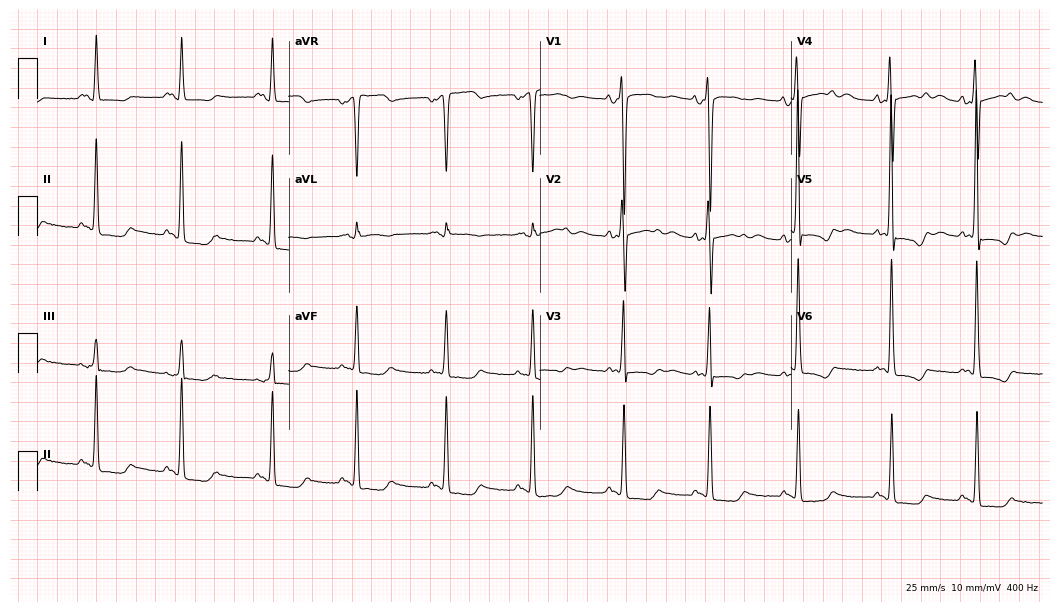
Resting 12-lead electrocardiogram. Patient: a woman, 43 years old. None of these six findings is recorded: first-degree AV block, right bundle branch block, left bundle branch block, sinus bradycardia, atrial fibrillation, sinus tachycardia.